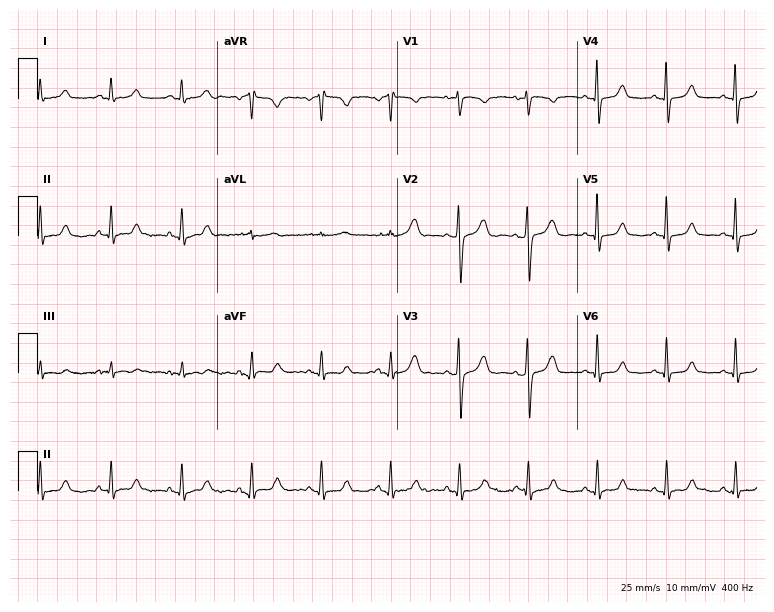
Resting 12-lead electrocardiogram (7.3-second recording at 400 Hz). Patient: a female, 59 years old. None of these six findings is recorded: first-degree AV block, right bundle branch block, left bundle branch block, sinus bradycardia, atrial fibrillation, sinus tachycardia.